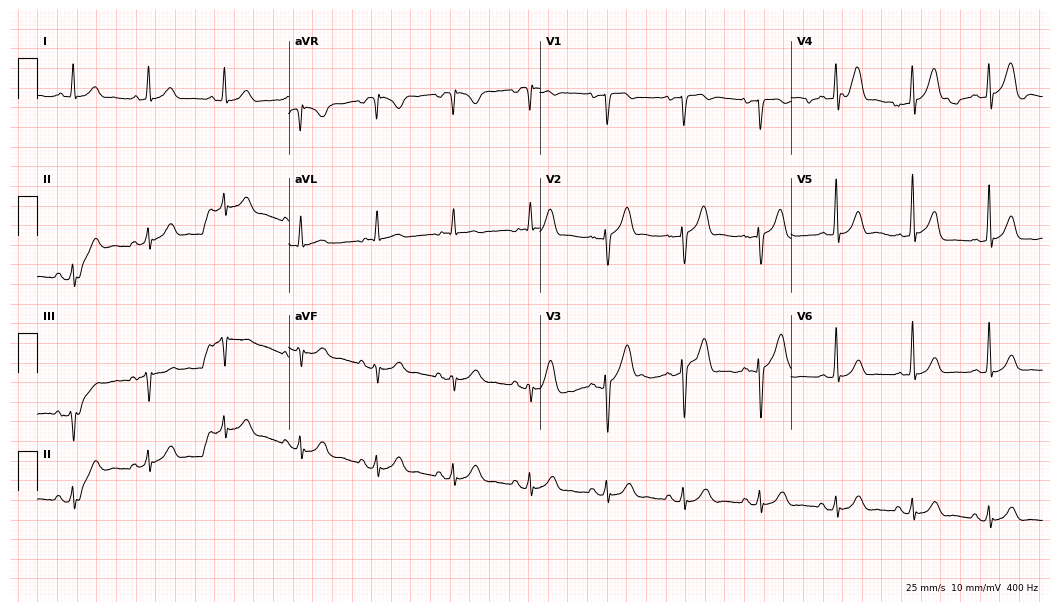
Electrocardiogram, a 76-year-old male. Of the six screened findings (first-degree AV block, right bundle branch block, left bundle branch block, sinus bradycardia, atrial fibrillation, sinus tachycardia), none is recorded. Other findings, if any, are not listed.